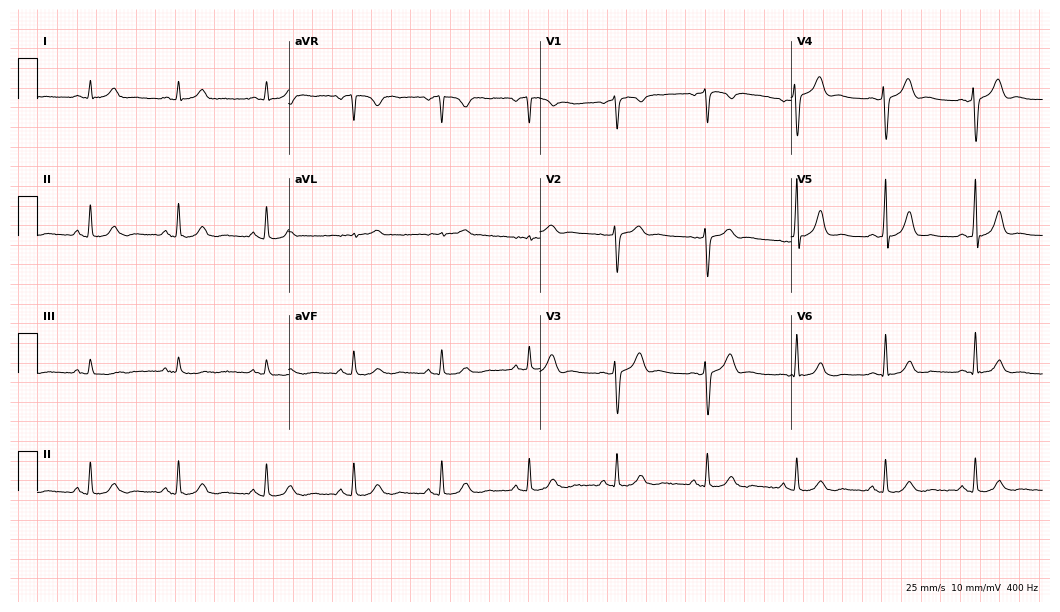
12-lead ECG from a 55-year-old male. Labelled as a normal ECG.